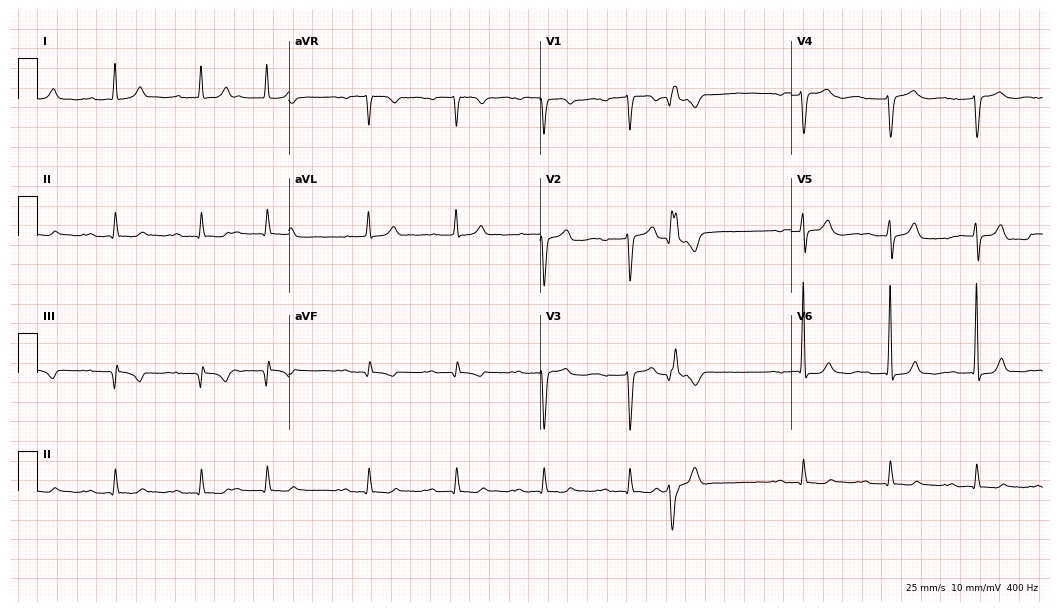
12-lead ECG from a male patient, 80 years old. Shows first-degree AV block.